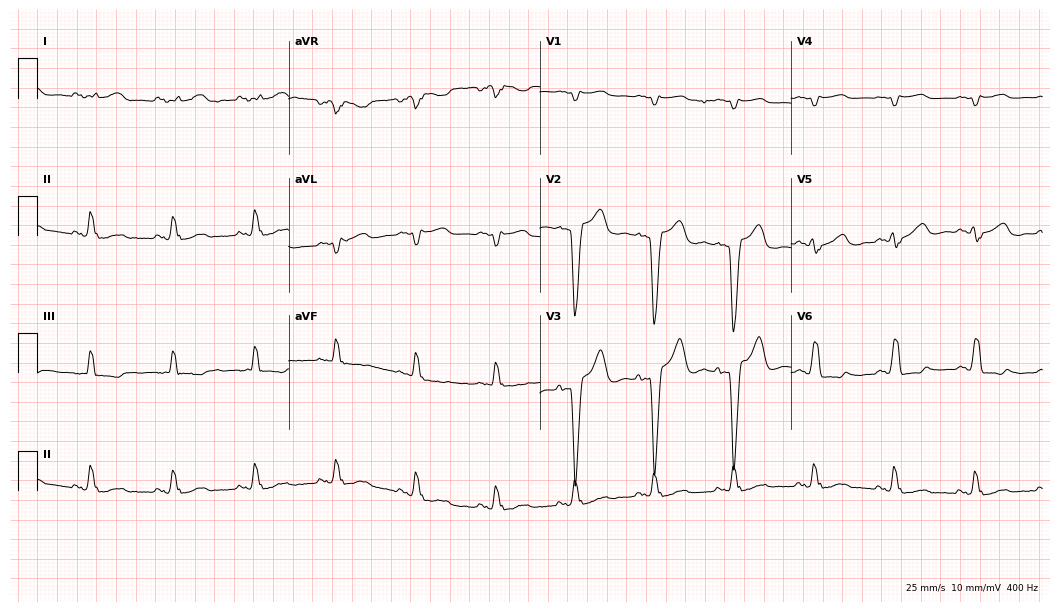
12-lead ECG from a 71-year-old female (10.2-second recording at 400 Hz). Shows left bundle branch block.